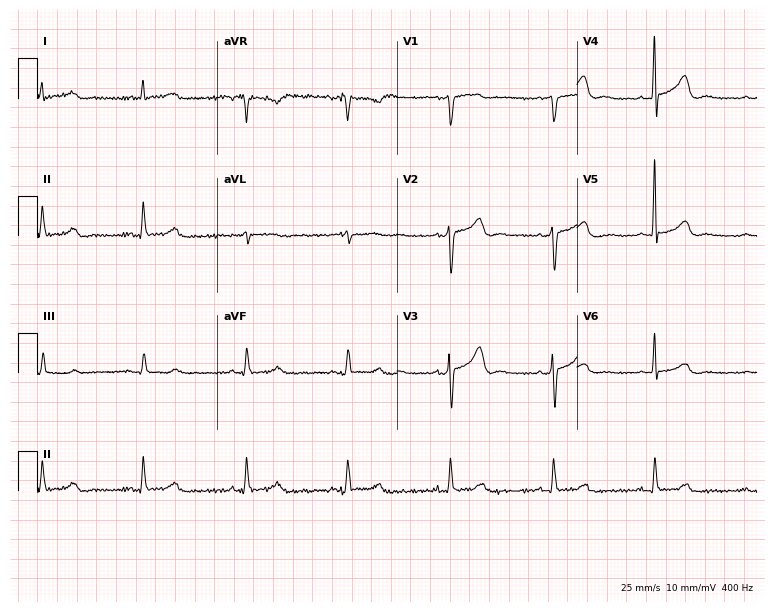
Standard 12-lead ECG recorded from a 67-year-old male patient. None of these six findings is recorded: first-degree AV block, right bundle branch block (RBBB), left bundle branch block (LBBB), sinus bradycardia, atrial fibrillation (AF), sinus tachycardia. Only these six findings were labelled.